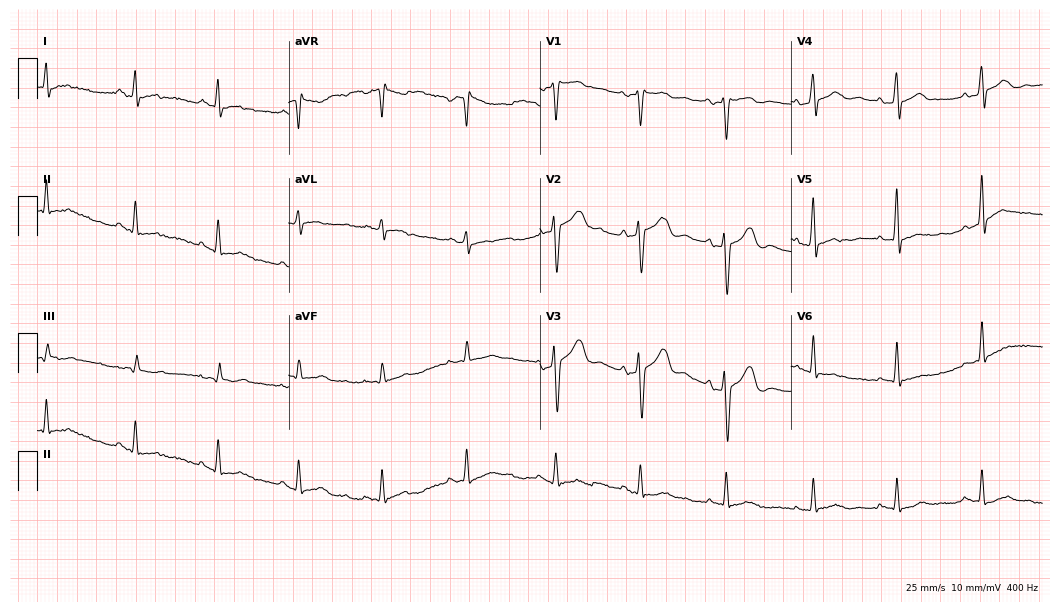
Standard 12-lead ECG recorded from a 38-year-old male patient (10.2-second recording at 400 Hz). None of these six findings is recorded: first-degree AV block, right bundle branch block (RBBB), left bundle branch block (LBBB), sinus bradycardia, atrial fibrillation (AF), sinus tachycardia. Other findings, if any, are not listed.